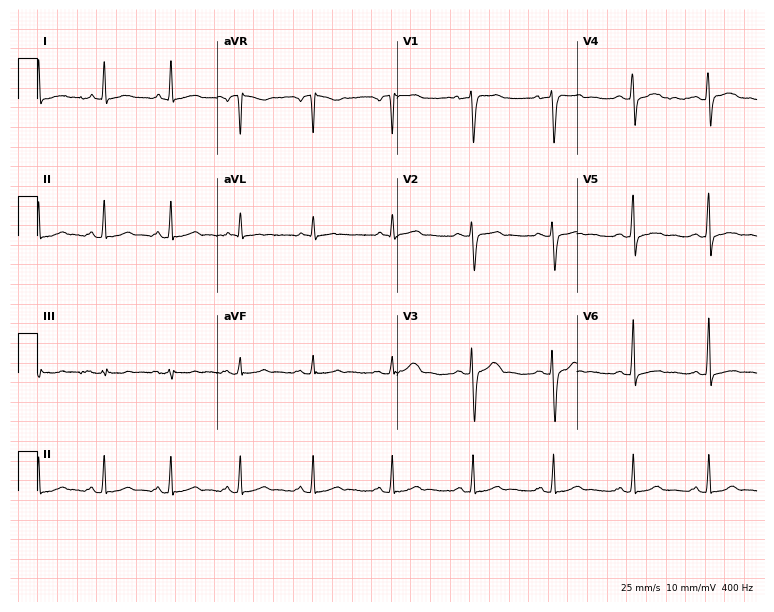
12-lead ECG (7.3-second recording at 400 Hz) from a male patient, 40 years old. Screened for six findings — first-degree AV block, right bundle branch block, left bundle branch block, sinus bradycardia, atrial fibrillation, sinus tachycardia — none is recorded. Findings outside these six are not listed.